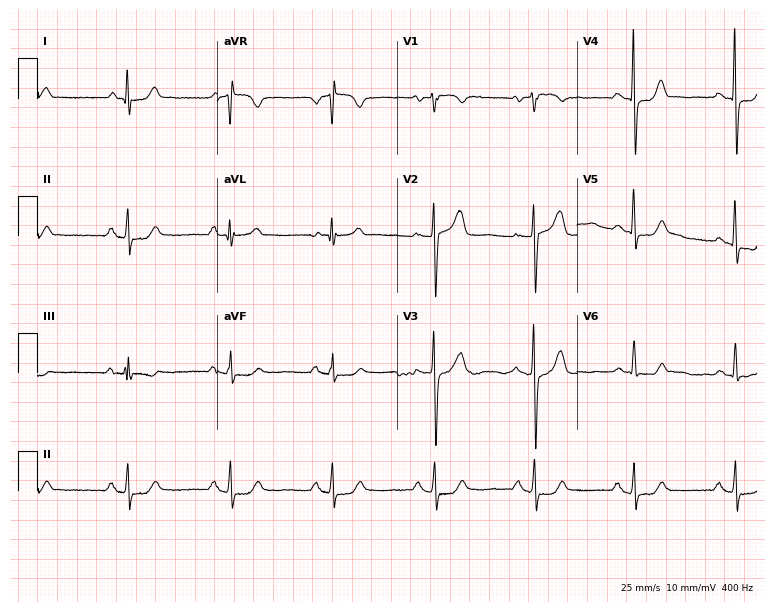
Electrocardiogram, a 77-year-old female. Of the six screened findings (first-degree AV block, right bundle branch block, left bundle branch block, sinus bradycardia, atrial fibrillation, sinus tachycardia), none is recorded.